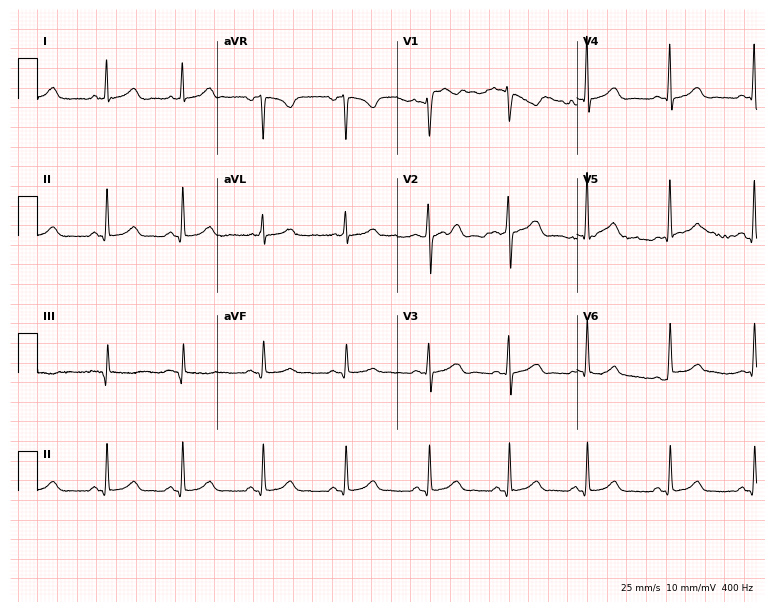
Standard 12-lead ECG recorded from a 38-year-old woman (7.3-second recording at 400 Hz). Read as a normal ECG.